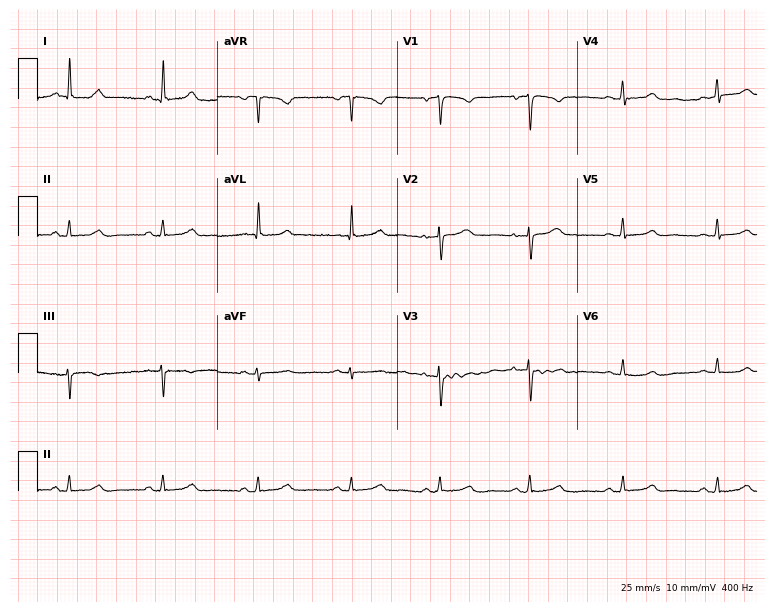
ECG (7.3-second recording at 400 Hz) — a female patient, 61 years old. Labelled as a normal ECG.